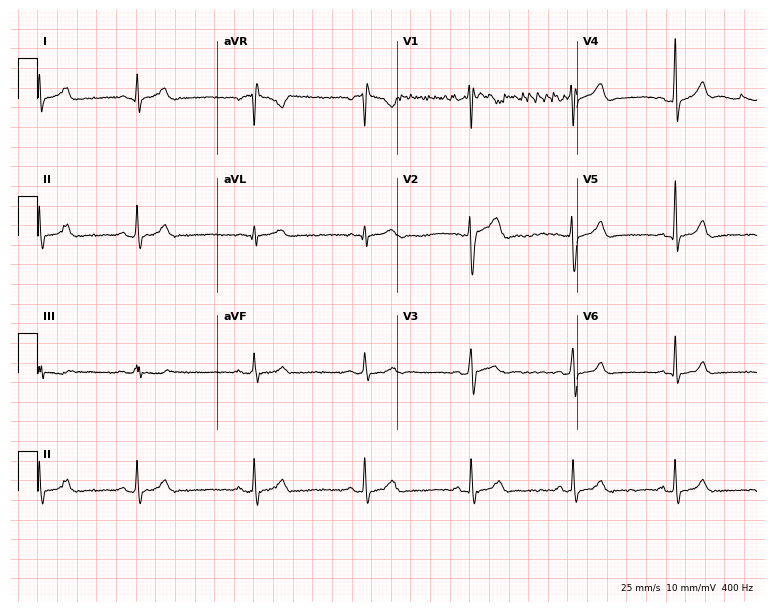
Electrocardiogram, a man, 28 years old. Overall reading on record: normal ECG.